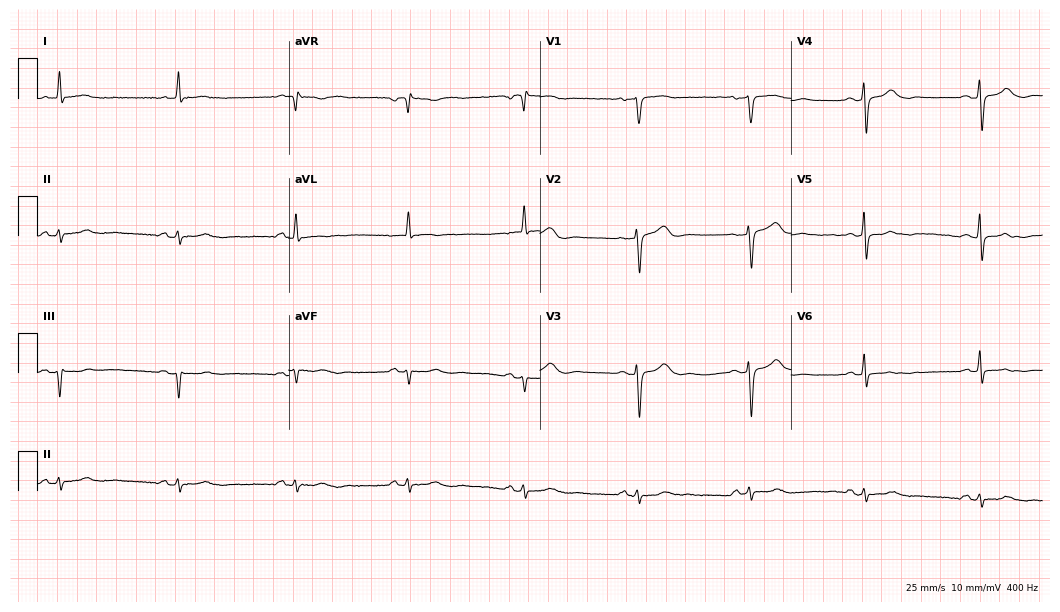
12-lead ECG (10.2-second recording at 400 Hz) from a 77-year-old female. Labelled as a normal ECG.